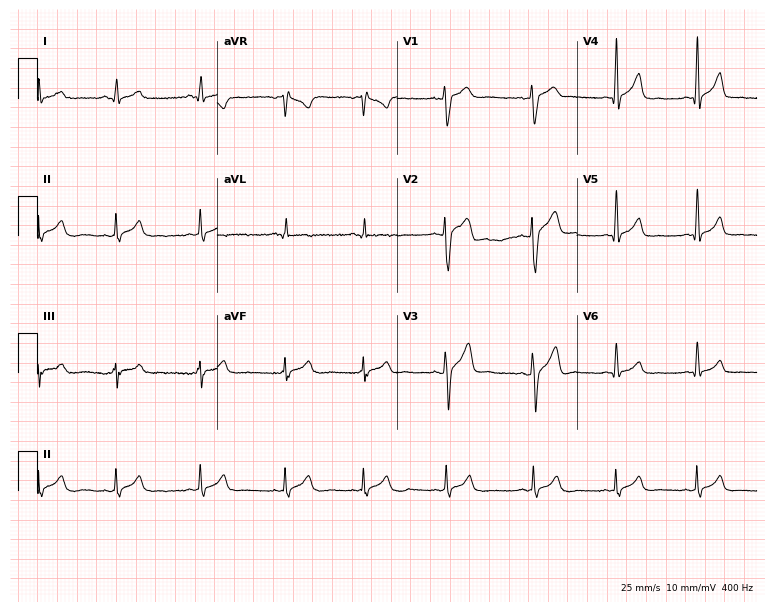
12-lead ECG from an 18-year-old male patient. Screened for six findings — first-degree AV block, right bundle branch block, left bundle branch block, sinus bradycardia, atrial fibrillation, sinus tachycardia — none is recorded. Other findings, if any, are not listed.